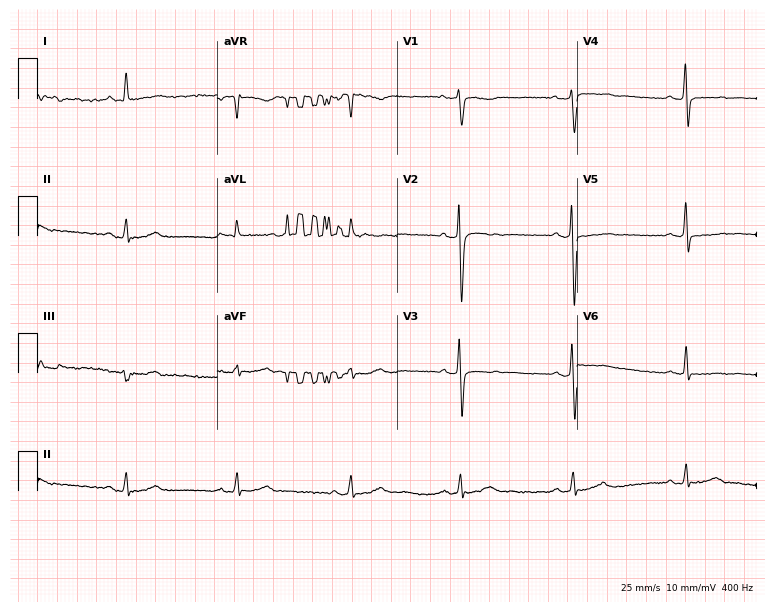
12-lead ECG from a 51-year-old female patient (7.3-second recording at 400 Hz). No first-degree AV block, right bundle branch block (RBBB), left bundle branch block (LBBB), sinus bradycardia, atrial fibrillation (AF) or sinus tachycardia recorded for this tracing.